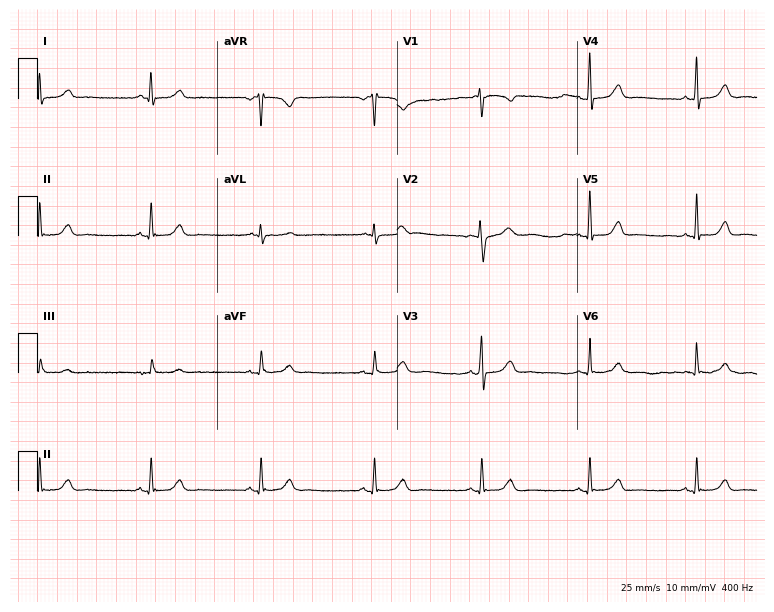
Standard 12-lead ECG recorded from a female patient, 37 years old. Read as a normal ECG.